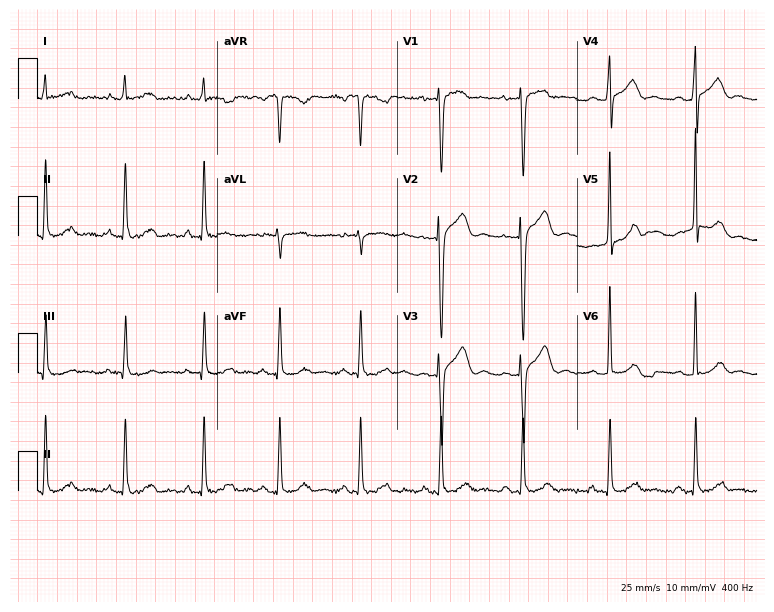
ECG (7.3-second recording at 400 Hz) — a 34-year-old woman. Screened for six findings — first-degree AV block, right bundle branch block (RBBB), left bundle branch block (LBBB), sinus bradycardia, atrial fibrillation (AF), sinus tachycardia — none is recorded.